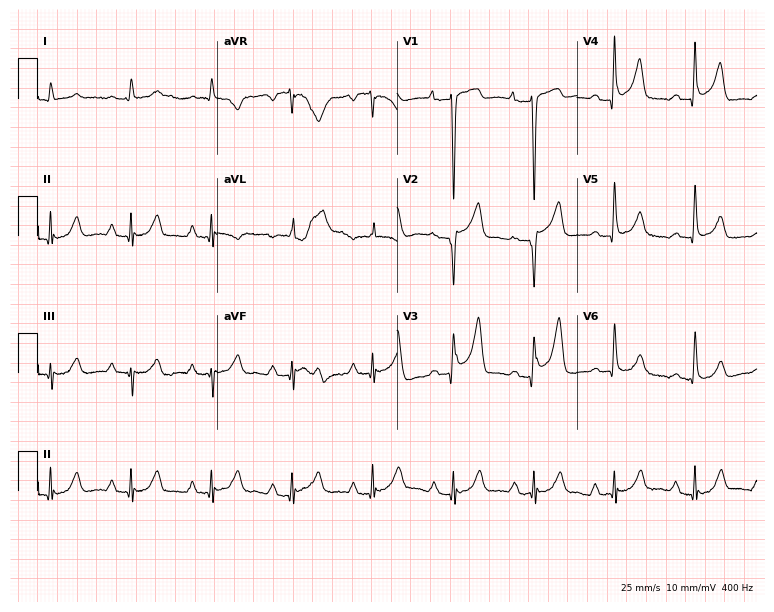
12-lead ECG from a male patient, 84 years old. Screened for six findings — first-degree AV block, right bundle branch block (RBBB), left bundle branch block (LBBB), sinus bradycardia, atrial fibrillation (AF), sinus tachycardia — none is recorded.